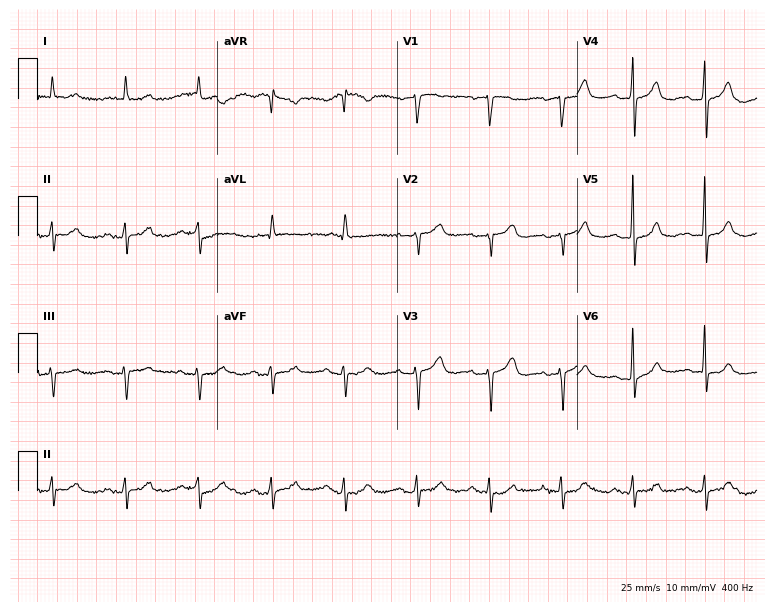
ECG (7.3-second recording at 400 Hz) — a female patient, 61 years old. Labelled as a normal ECG.